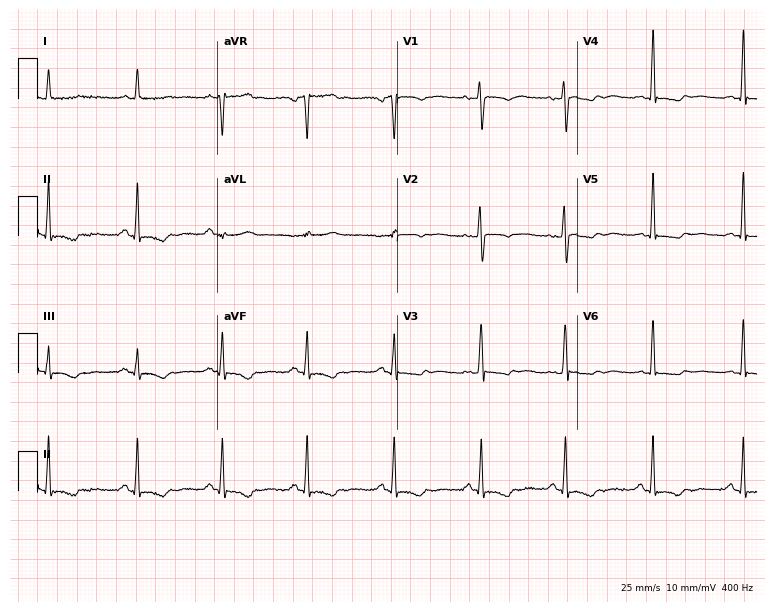
Electrocardiogram, a female patient, 38 years old. Overall reading on record: normal ECG.